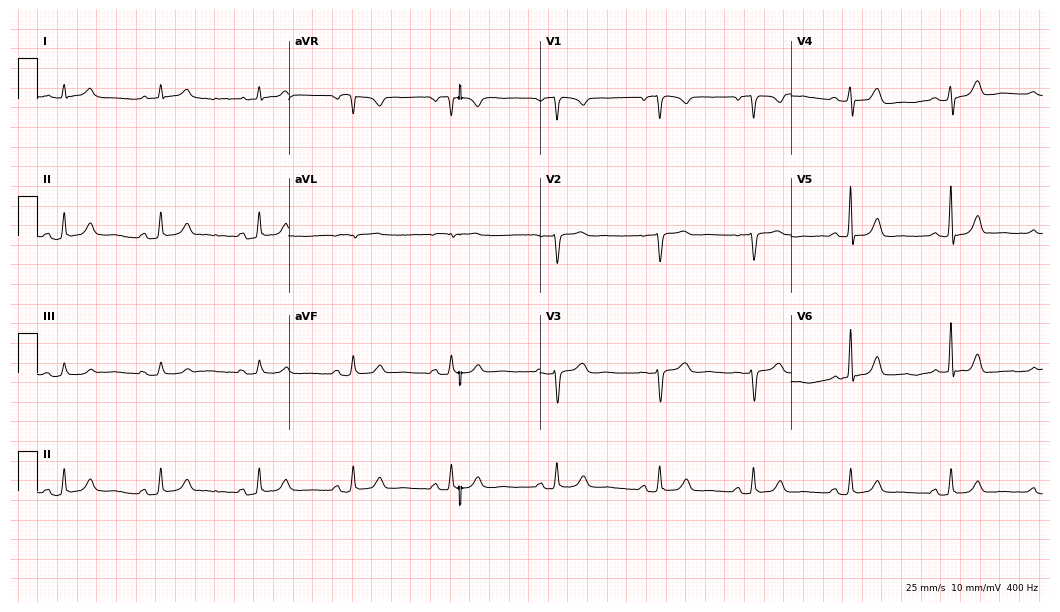
12-lead ECG from a woman, 49 years old. Screened for six findings — first-degree AV block, right bundle branch block, left bundle branch block, sinus bradycardia, atrial fibrillation, sinus tachycardia — none is recorded.